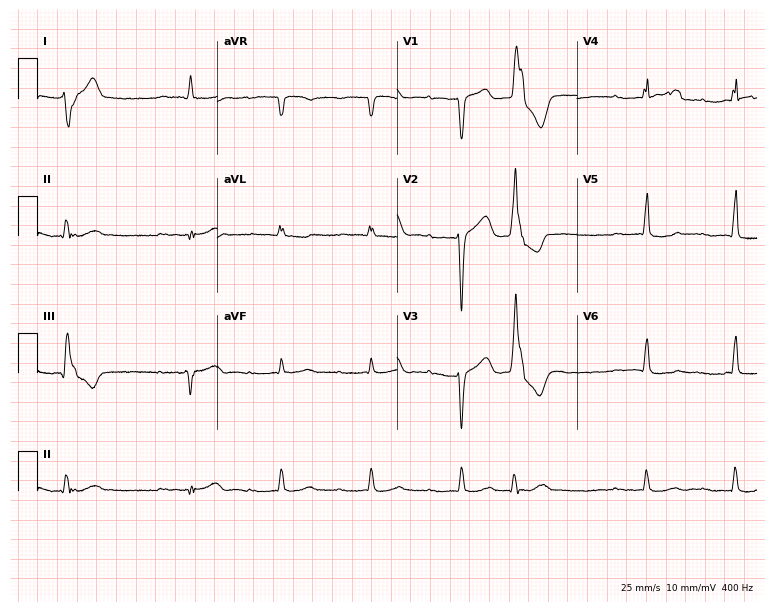
Resting 12-lead electrocardiogram. Patient: a man, 75 years old. The tracing shows first-degree AV block.